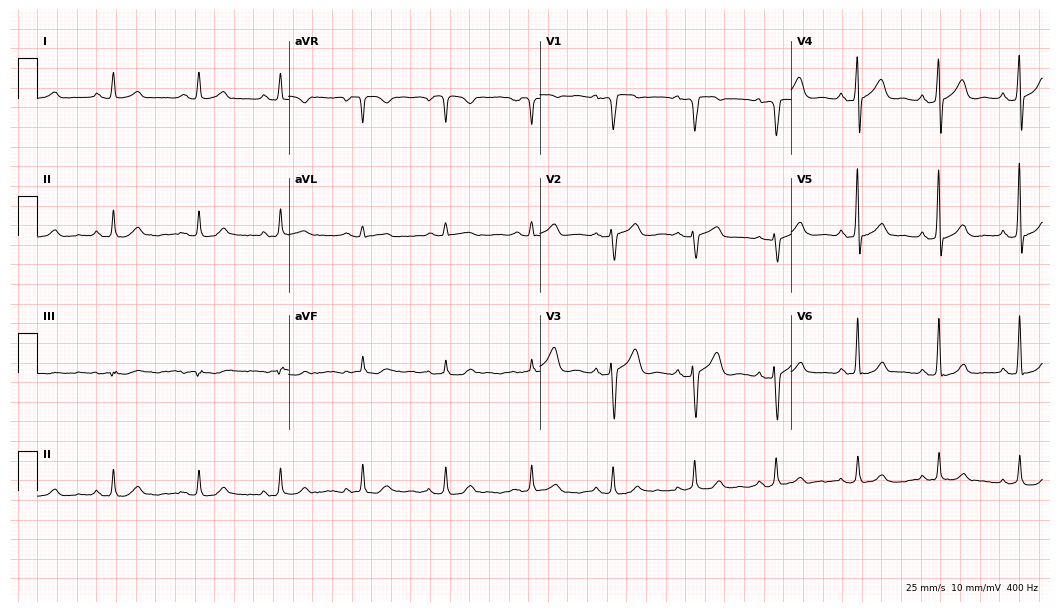
Electrocardiogram (10.2-second recording at 400 Hz), a man, 74 years old. Overall reading on record: normal ECG.